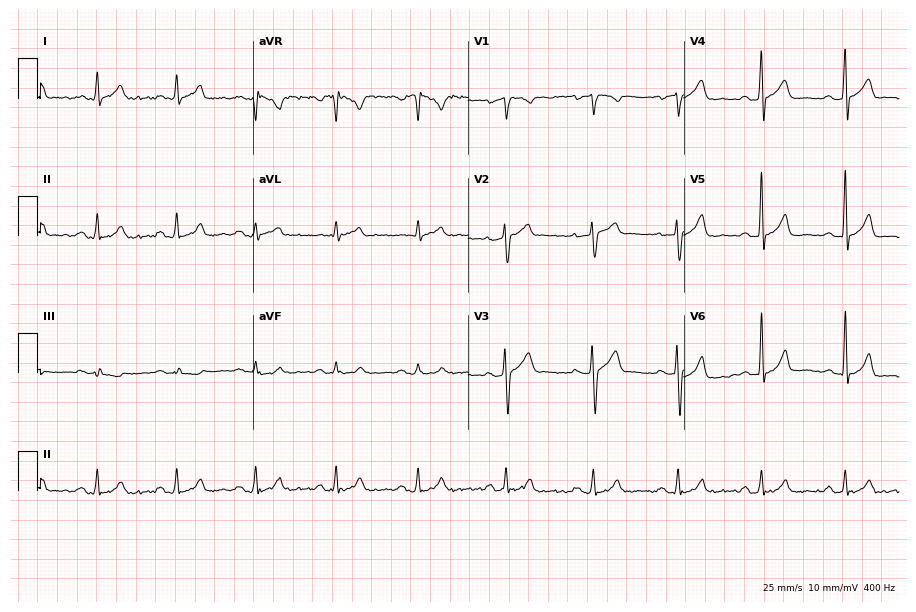
Electrocardiogram (8.8-second recording at 400 Hz), a 39-year-old man. Overall reading on record: normal ECG.